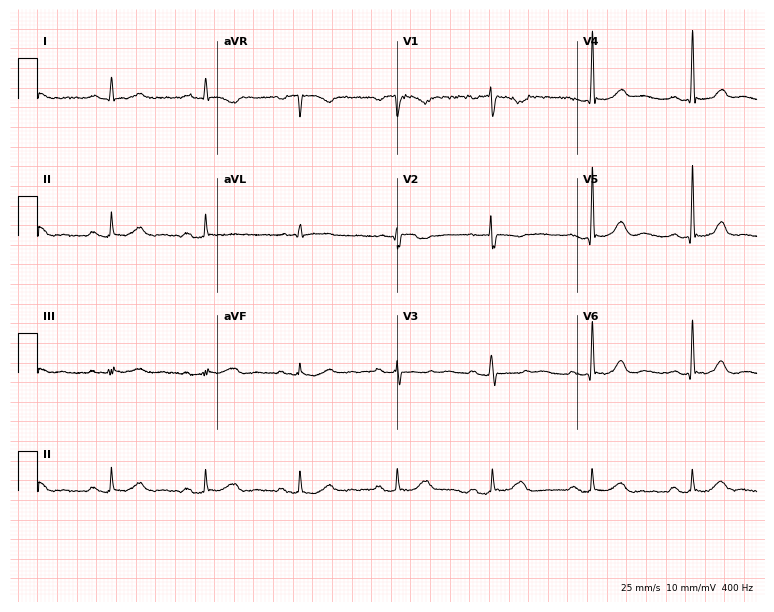
ECG — a woman, 46 years old. Screened for six findings — first-degree AV block, right bundle branch block (RBBB), left bundle branch block (LBBB), sinus bradycardia, atrial fibrillation (AF), sinus tachycardia — none is recorded.